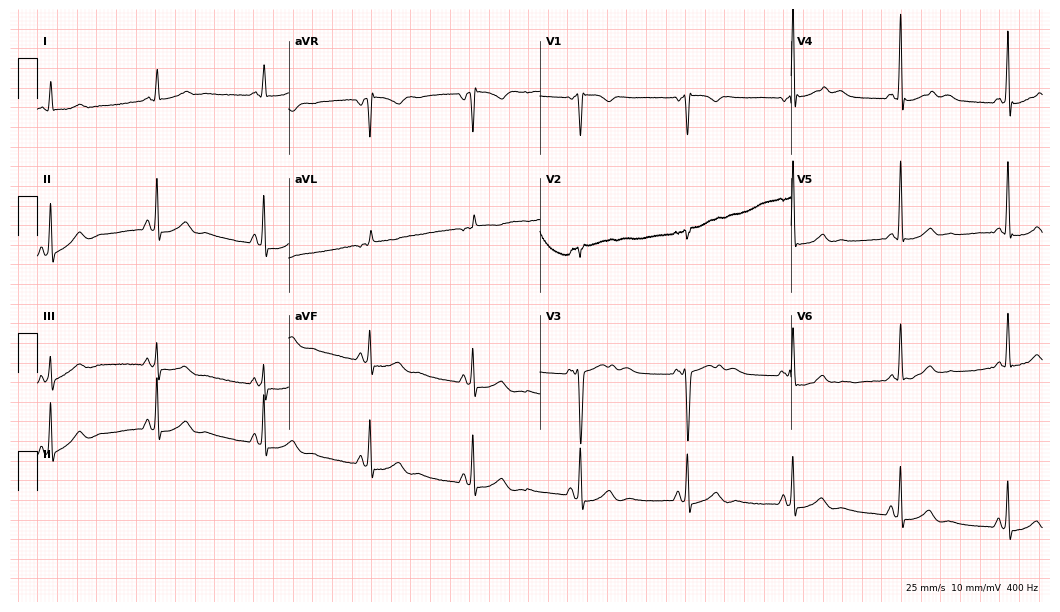
Resting 12-lead electrocardiogram (10.2-second recording at 400 Hz). Patient: a woman, 47 years old. Read as a normal ECG.